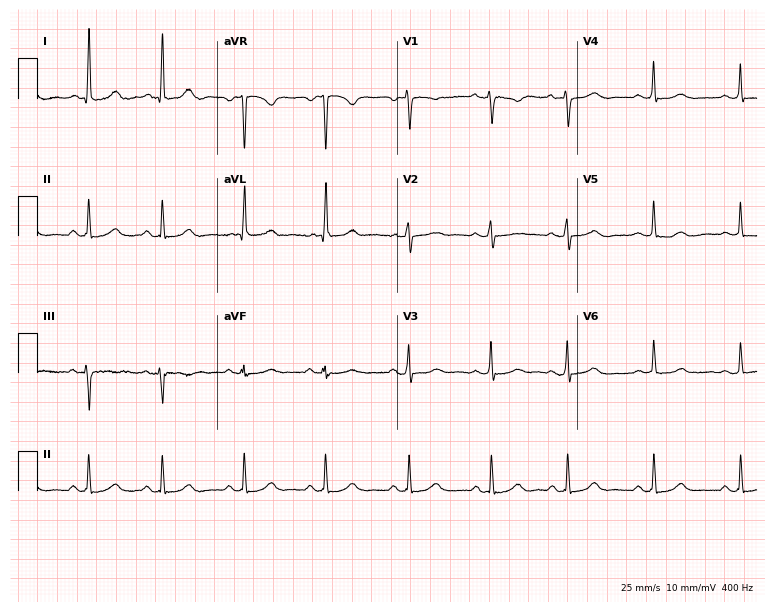
Standard 12-lead ECG recorded from a 39-year-old female (7.3-second recording at 400 Hz). Read as a normal ECG.